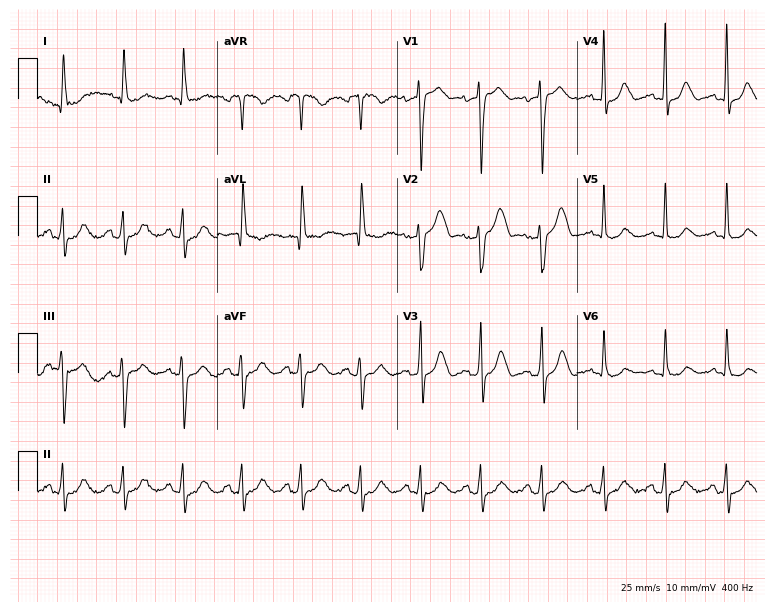
12-lead ECG from an 84-year-old female (7.3-second recording at 400 Hz). No first-degree AV block, right bundle branch block, left bundle branch block, sinus bradycardia, atrial fibrillation or sinus tachycardia recorded for this tracing.